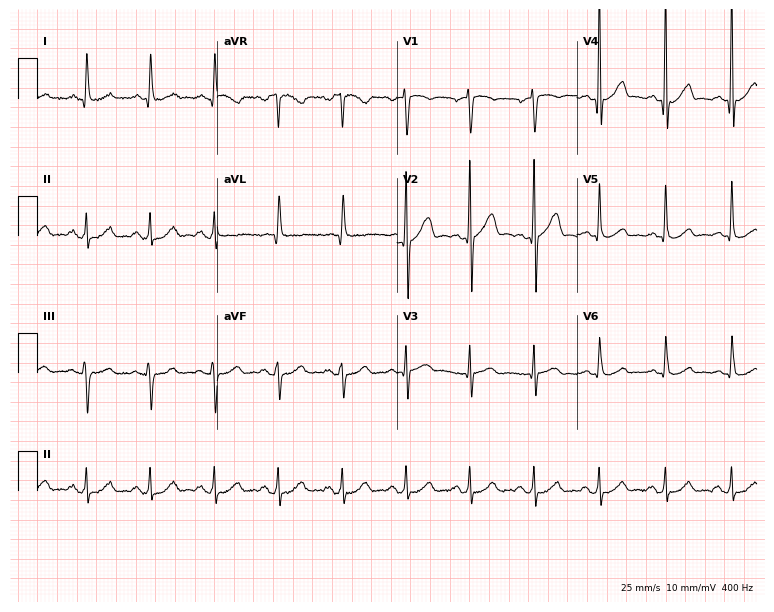
12-lead ECG (7.3-second recording at 400 Hz) from a 55-year-old man. Labelled as a normal ECG.